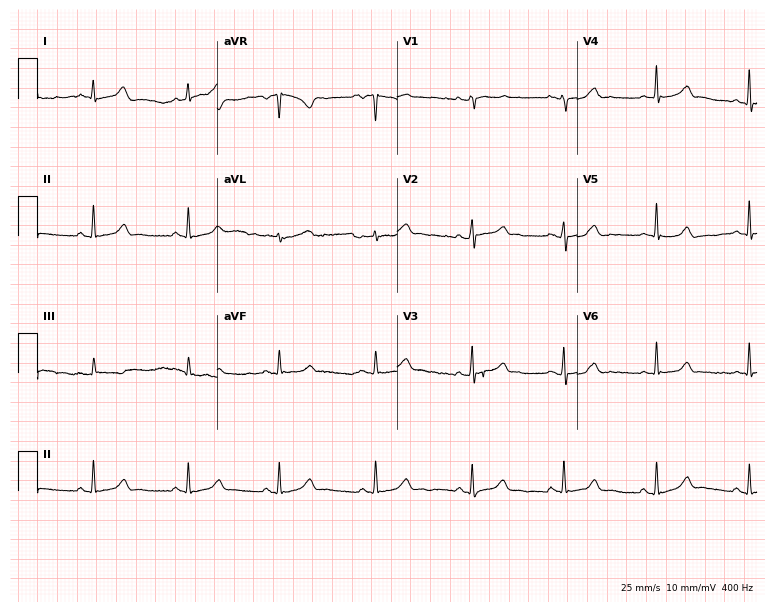
ECG — a 26-year-old female. Labelled as a normal ECG.